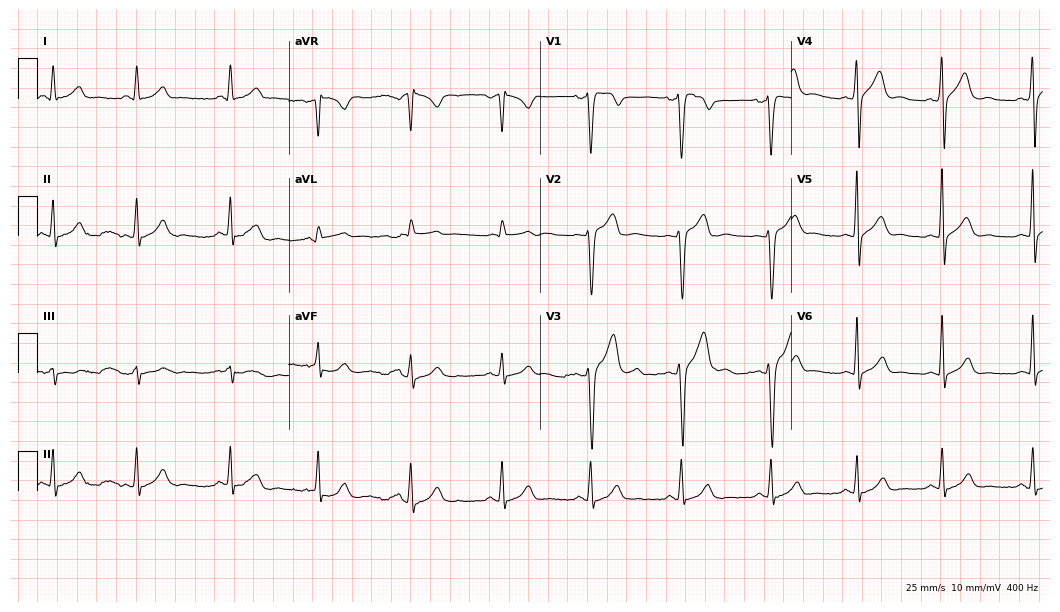
Electrocardiogram (10.2-second recording at 400 Hz), a 26-year-old male. Of the six screened findings (first-degree AV block, right bundle branch block, left bundle branch block, sinus bradycardia, atrial fibrillation, sinus tachycardia), none is recorded. Other findings, if any, are not listed.